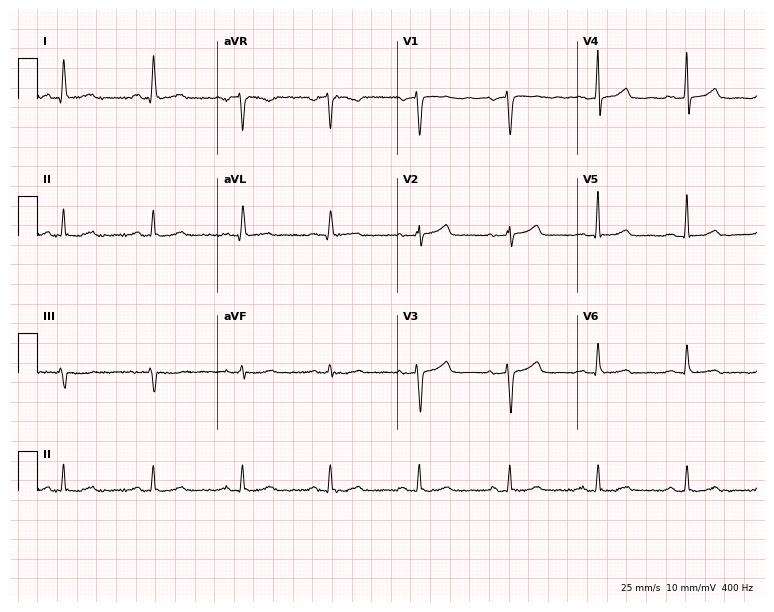
12-lead ECG from a woman, 49 years old. Recorded interpretation: within normal limits.